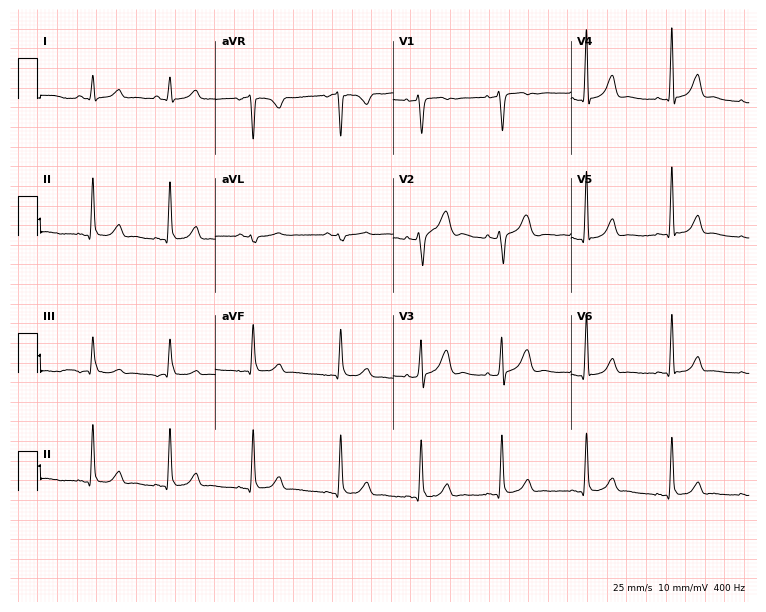
ECG (7.3-second recording at 400 Hz) — a female patient, 19 years old. Labelled as a normal ECG.